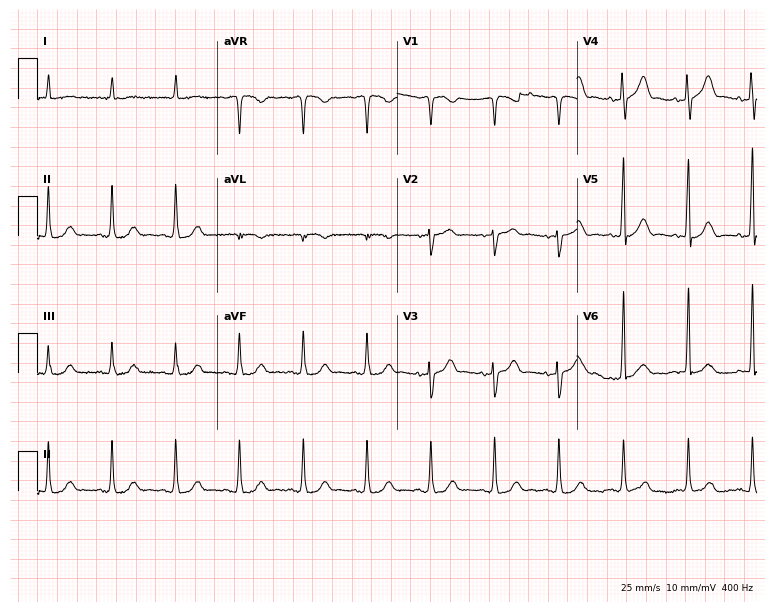
ECG — a female patient, 86 years old. Labelled as a normal ECG.